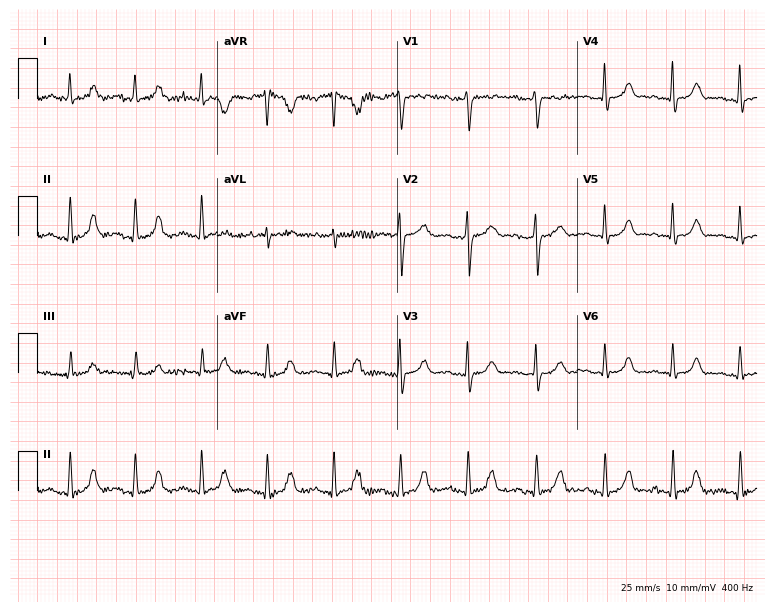
Standard 12-lead ECG recorded from a female, 36 years old. Read as a normal ECG.